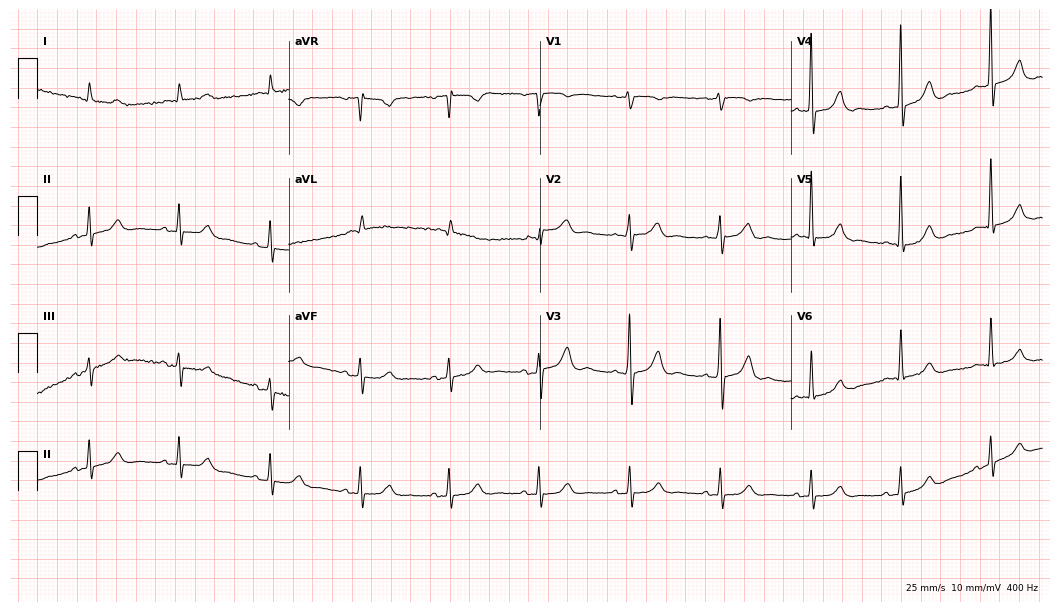
12-lead ECG from a 75-year-old male patient. Labelled as a normal ECG.